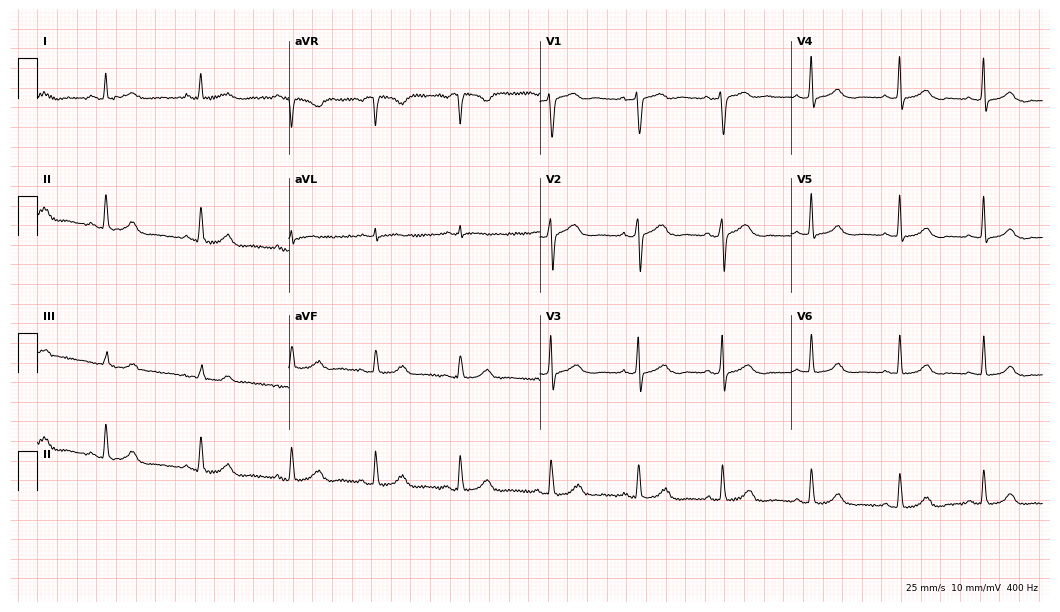
Resting 12-lead electrocardiogram (10.2-second recording at 400 Hz). Patient: a 35-year-old female. Read as a normal ECG.